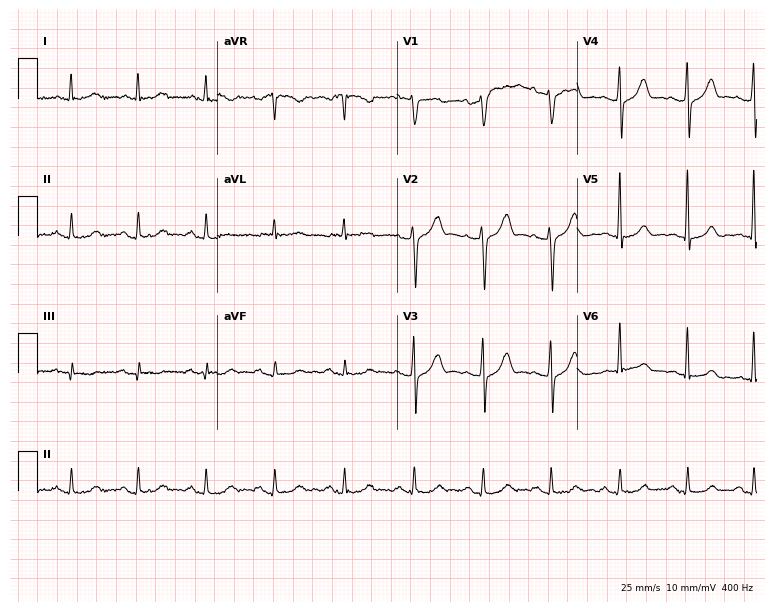
Resting 12-lead electrocardiogram (7.3-second recording at 400 Hz). Patient: a 71-year-old male. Read as a normal ECG.